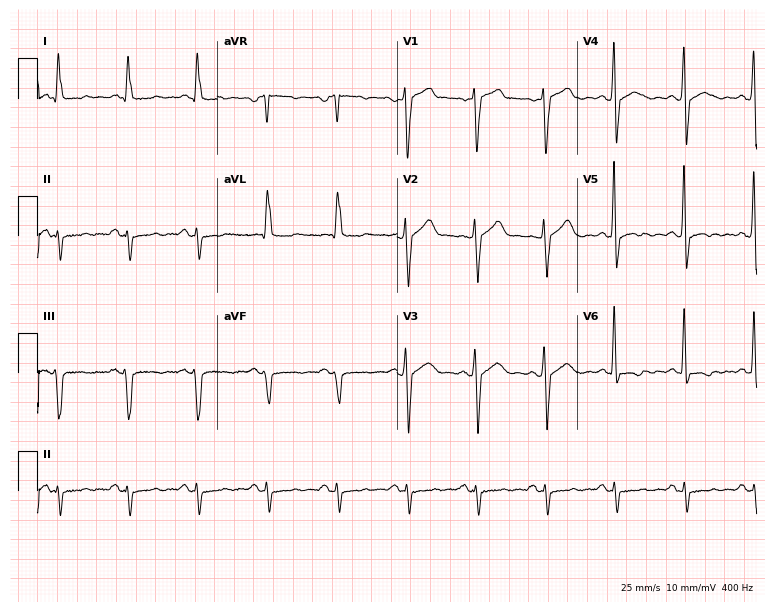
Resting 12-lead electrocardiogram. Patient: a 60-year-old man. None of these six findings is recorded: first-degree AV block, right bundle branch block (RBBB), left bundle branch block (LBBB), sinus bradycardia, atrial fibrillation (AF), sinus tachycardia. Findings outside these six are not listed.